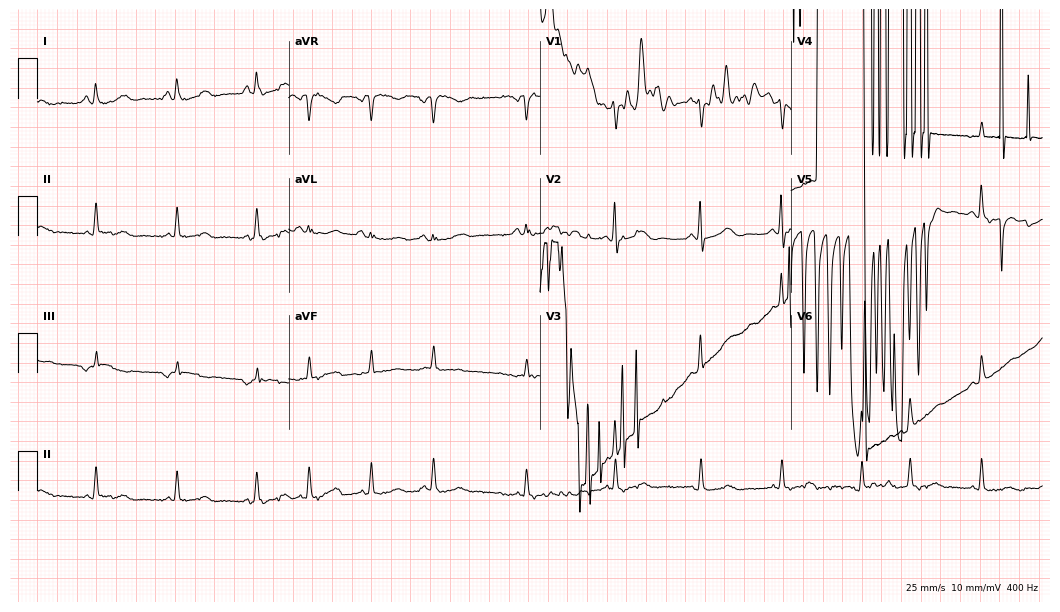
12-lead ECG from a female patient, 79 years old. No first-degree AV block, right bundle branch block (RBBB), left bundle branch block (LBBB), sinus bradycardia, atrial fibrillation (AF) or sinus tachycardia recorded for this tracing.